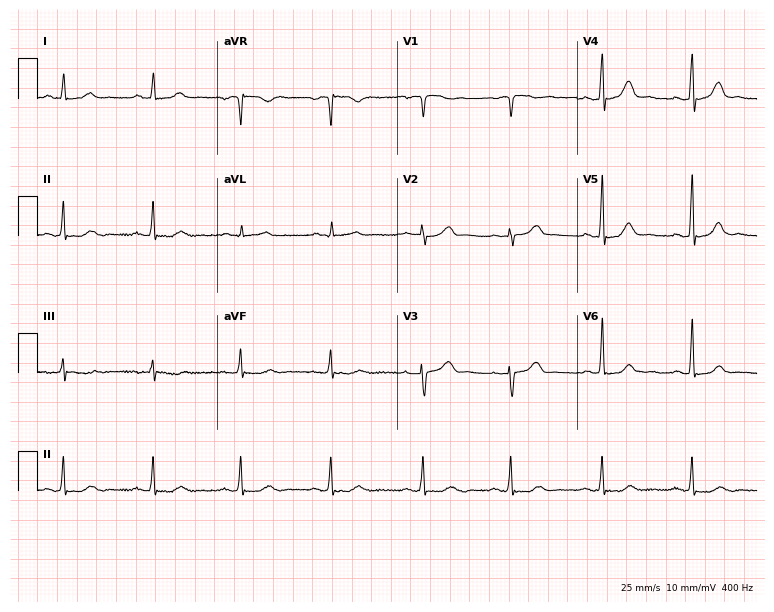
12-lead ECG (7.3-second recording at 400 Hz) from a 60-year-old female. Labelled as a normal ECG.